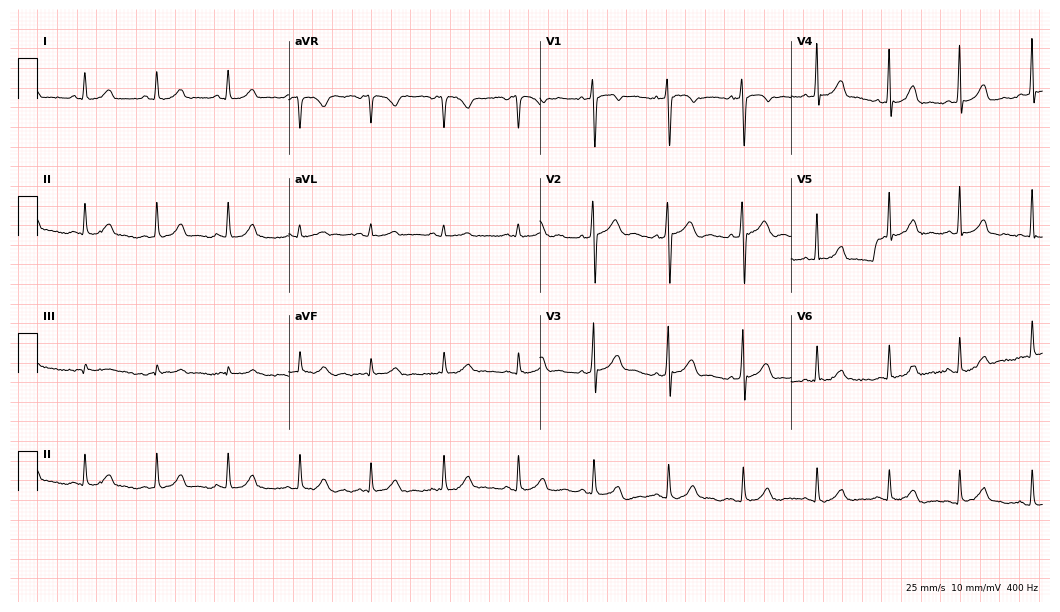
Electrocardiogram, a woman, 20 years old. Overall reading on record: normal ECG.